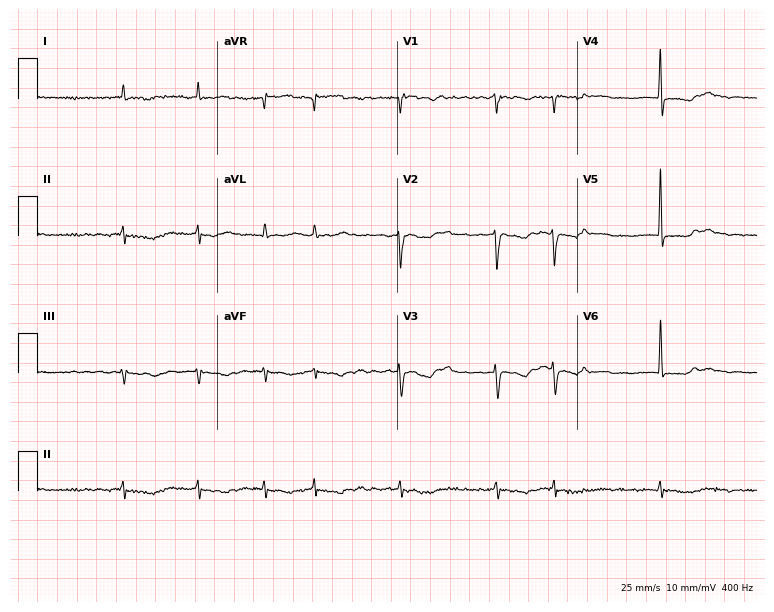
Resting 12-lead electrocardiogram (7.3-second recording at 400 Hz). Patient: a 75-year-old female. The tracing shows atrial fibrillation.